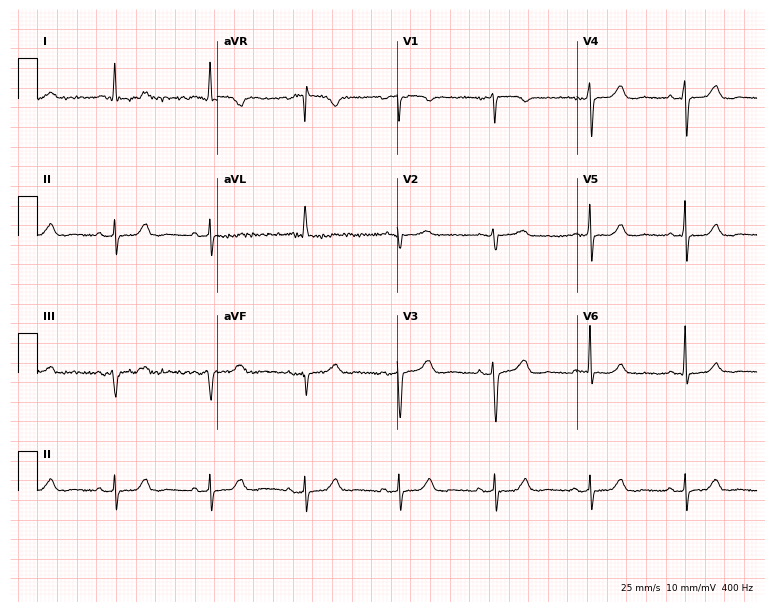
Standard 12-lead ECG recorded from a female, 79 years old (7.3-second recording at 400 Hz). None of these six findings is recorded: first-degree AV block, right bundle branch block (RBBB), left bundle branch block (LBBB), sinus bradycardia, atrial fibrillation (AF), sinus tachycardia.